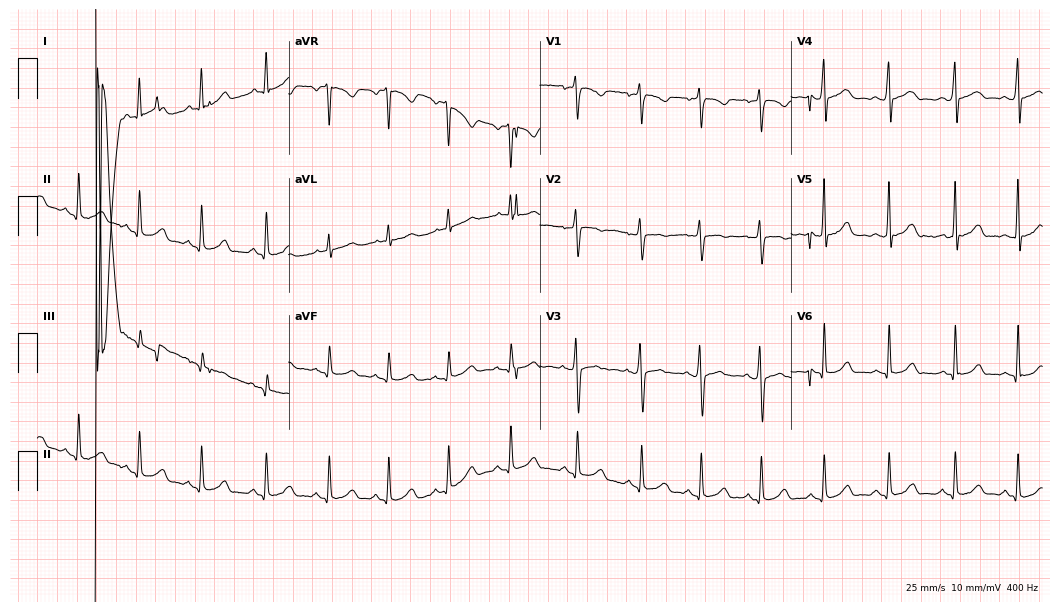
12-lead ECG (10.2-second recording at 400 Hz) from a female, 19 years old. Screened for six findings — first-degree AV block, right bundle branch block, left bundle branch block, sinus bradycardia, atrial fibrillation, sinus tachycardia — none is recorded.